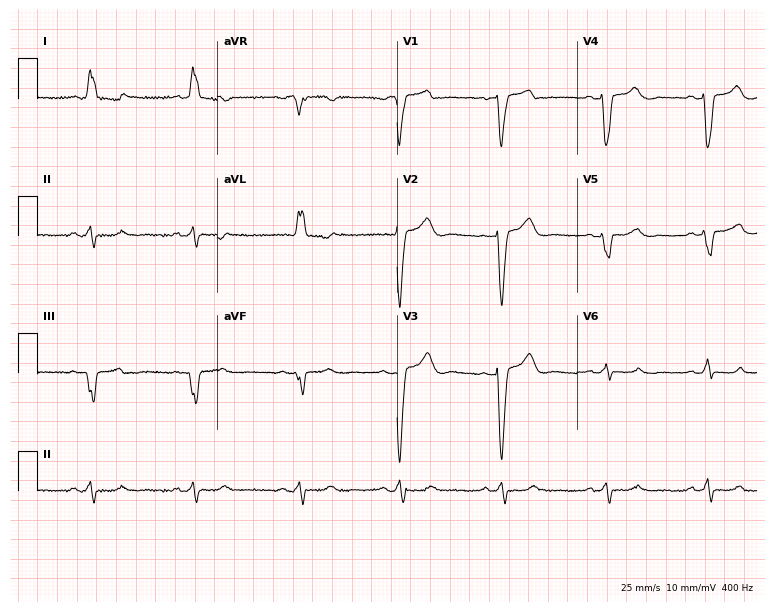
12-lead ECG from a 57-year-old female (7.3-second recording at 400 Hz). Shows left bundle branch block.